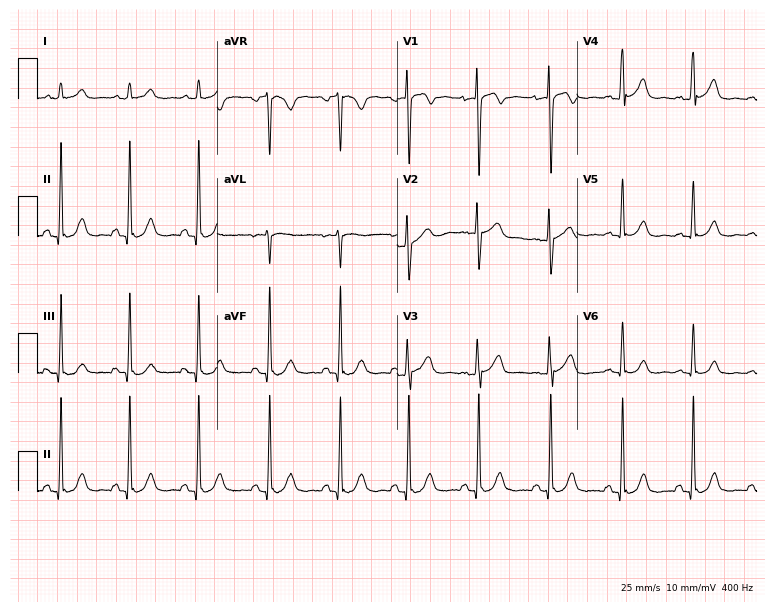
ECG (7.3-second recording at 400 Hz) — a 56-year-old male. Labelled as a normal ECG.